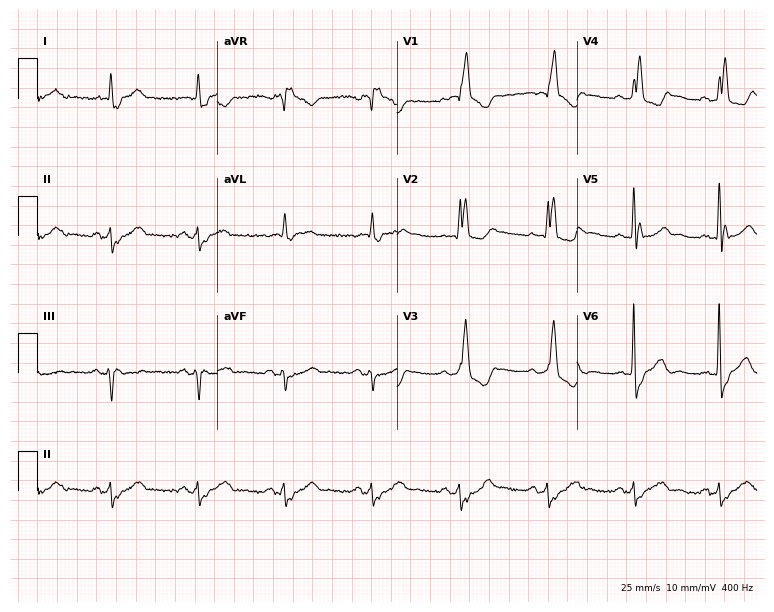
12-lead ECG from a male patient, 71 years old (7.3-second recording at 400 Hz). Shows right bundle branch block.